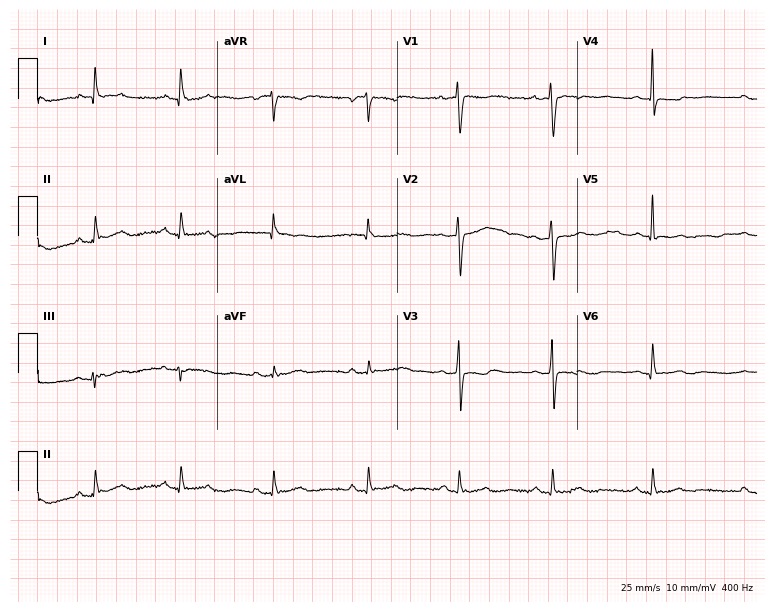
Resting 12-lead electrocardiogram. Patient: a female, 37 years old. None of these six findings is recorded: first-degree AV block, right bundle branch block, left bundle branch block, sinus bradycardia, atrial fibrillation, sinus tachycardia.